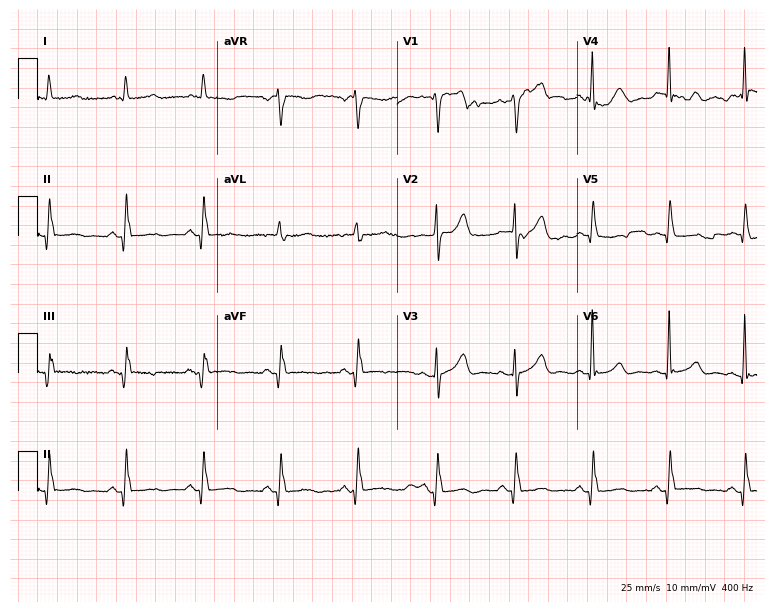
Electrocardiogram (7.3-second recording at 400 Hz), an 84-year-old male patient. Of the six screened findings (first-degree AV block, right bundle branch block, left bundle branch block, sinus bradycardia, atrial fibrillation, sinus tachycardia), none is recorded.